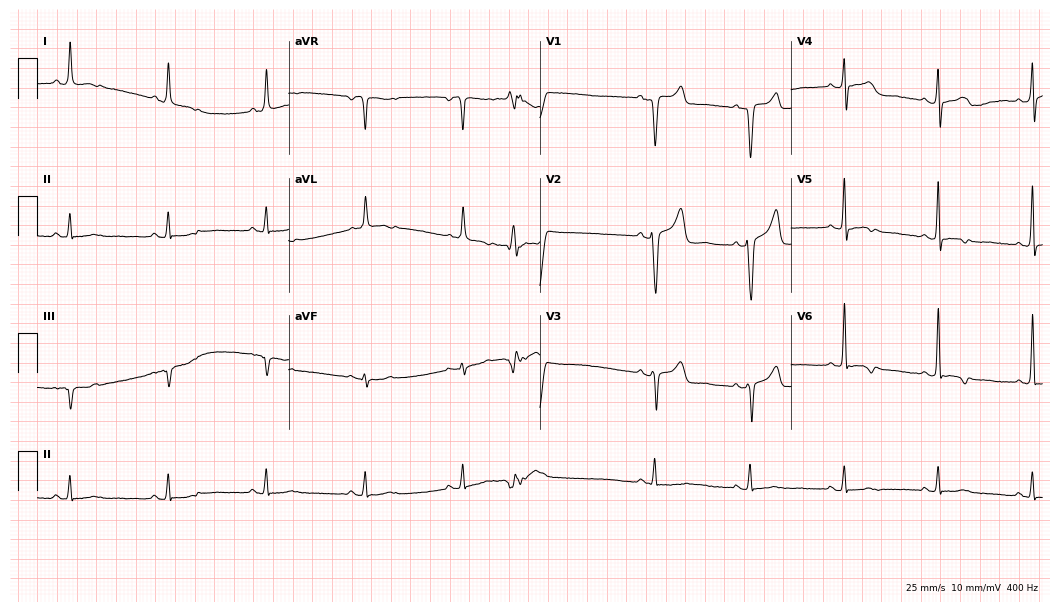
12-lead ECG from a 62-year-old male. Screened for six findings — first-degree AV block, right bundle branch block, left bundle branch block, sinus bradycardia, atrial fibrillation, sinus tachycardia — none is recorded.